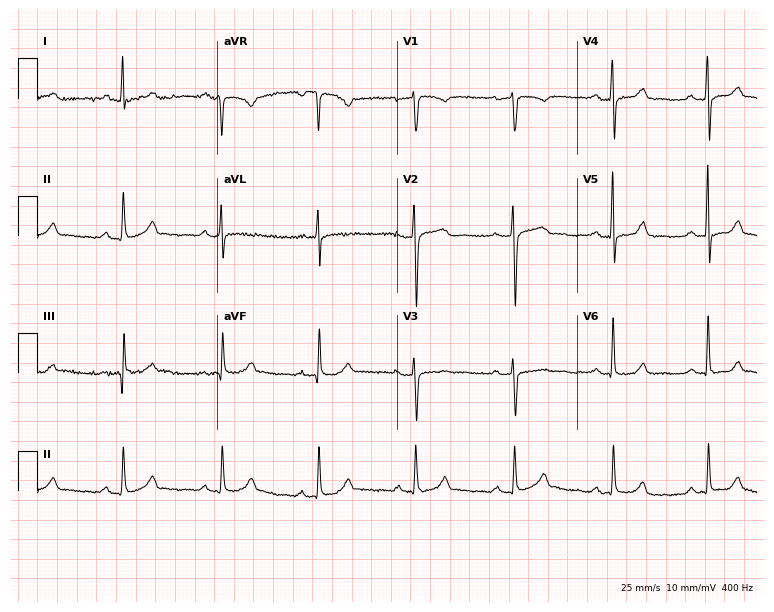
Resting 12-lead electrocardiogram (7.3-second recording at 400 Hz). Patient: a 53-year-old female. None of these six findings is recorded: first-degree AV block, right bundle branch block, left bundle branch block, sinus bradycardia, atrial fibrillation, sinus tachycardia.